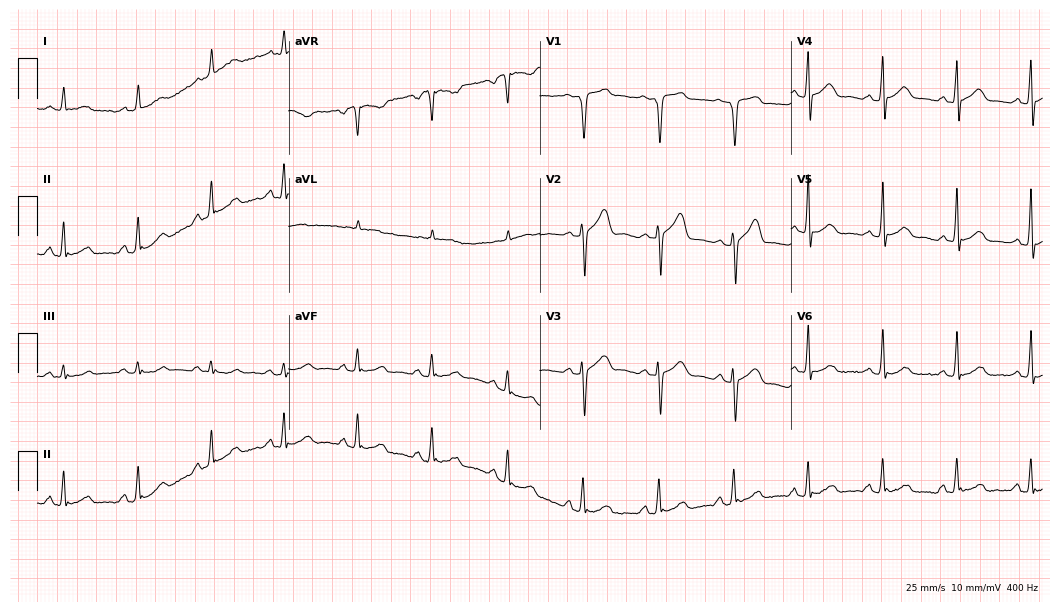
Electrocardiogram (10.2-second recording at 400 Hz), a 52-year-old male patient. Overall reading on record: normal ECG.